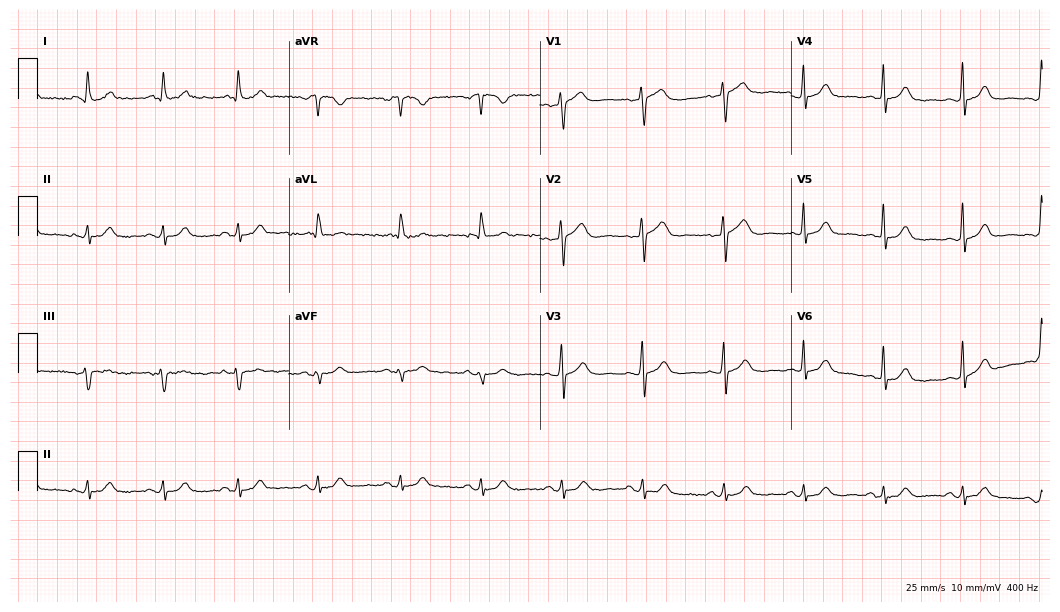
Resting 12-lead electrocardiogram. Patient: a woman, 65 years old. Read as a normal ECG.